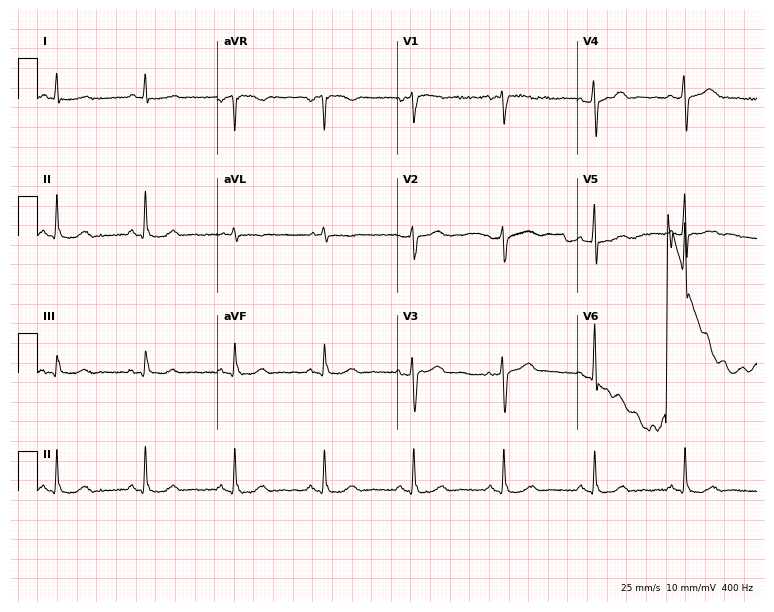
12-lead ECG (7.3-second recording at 400 Hz) from a male, 82 years old. Screened for six findings — first-degree AV block, right bundle branch block, left bundle branch block, sinus bradycardia, atrial fibrillation, sinus tachycardia — none is recorded. Findings outside these six are not listed.